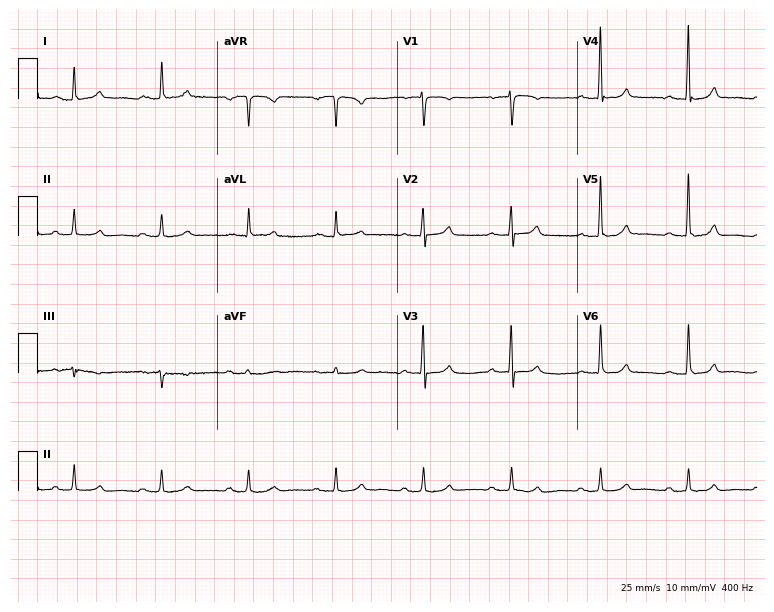
12-lead ECG from a 72-year-old female patient. Recorded interpretation: within normal limits.